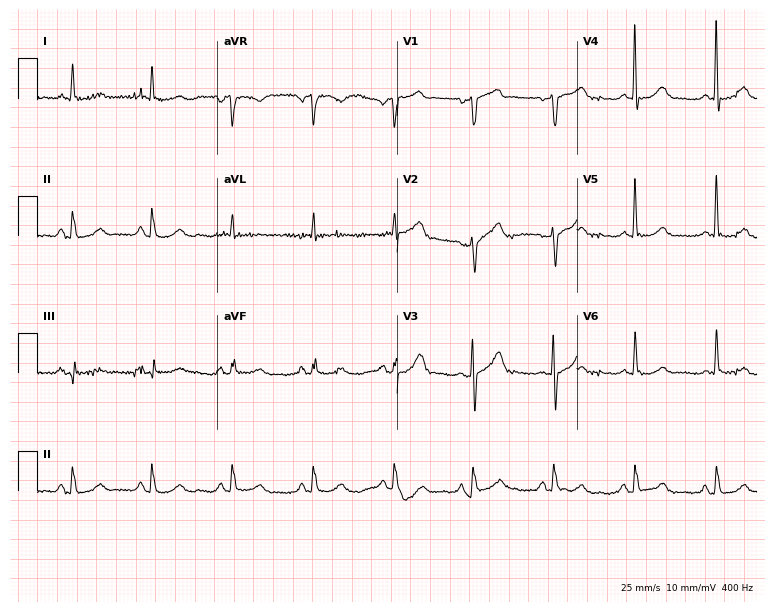
Electrocardiogram, a 78-year-old man. Of the six screened findings (first-degree AV block, right bundle branch block, left bundle branch block, sinus bradycardia, atrial fibrillation, sinus tachycardia), none is recorded.